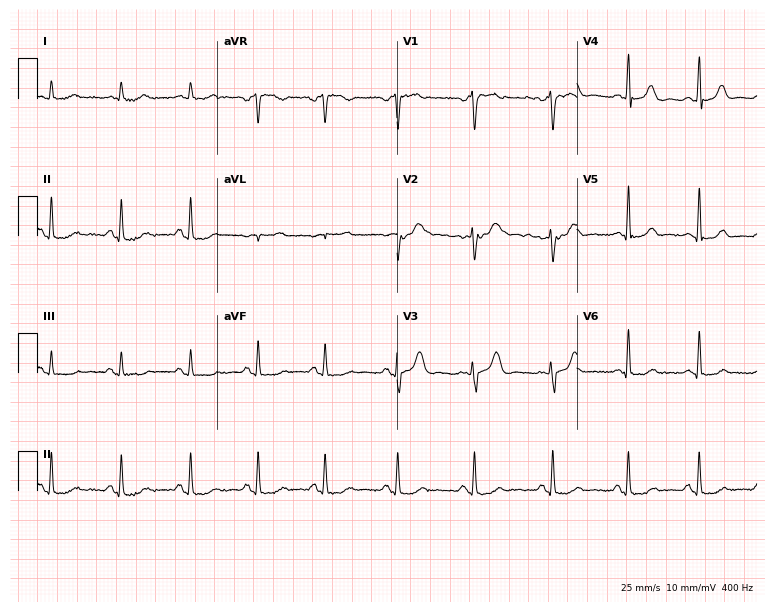
Standard 12-lead ECG recorded from a woman, 47 years old (7.3-second recording at 400 Hz). Read as a normal ECG.